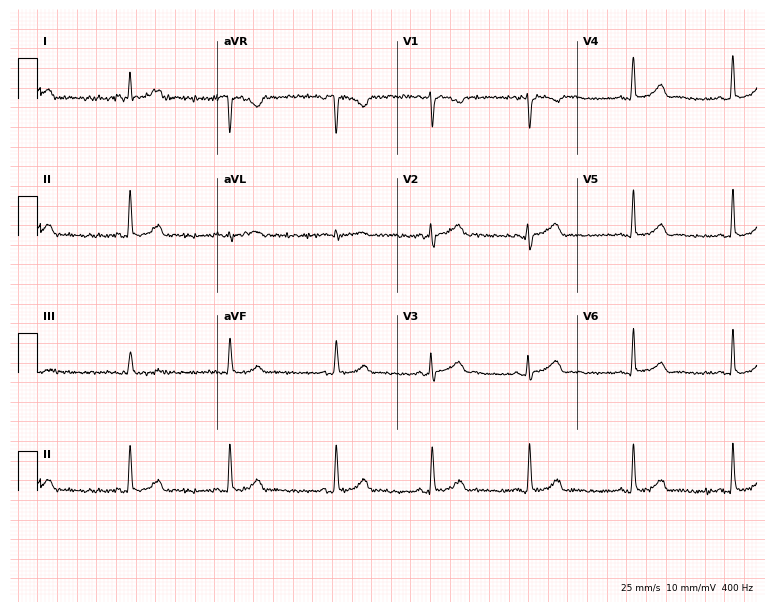
Resting 12-lead electrocardiogram. Patient: a 32-year-old female. None of these six findings is recorded: first-degree AV block, right bundle branch block (RBBB), left bundle branch block (LBBB), sinus bradycardia, atrial fibrillation (AF), sinus tachycardia. Only these six findings were labelled.